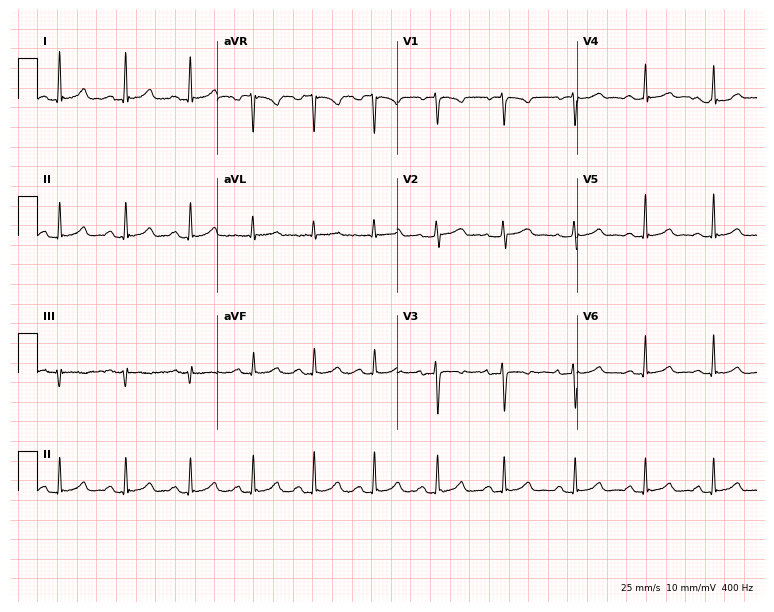
12-lead ECG (7.3-second recording at 400 Hz) from a woman, 40 years old. Labelled as a normal ECG.